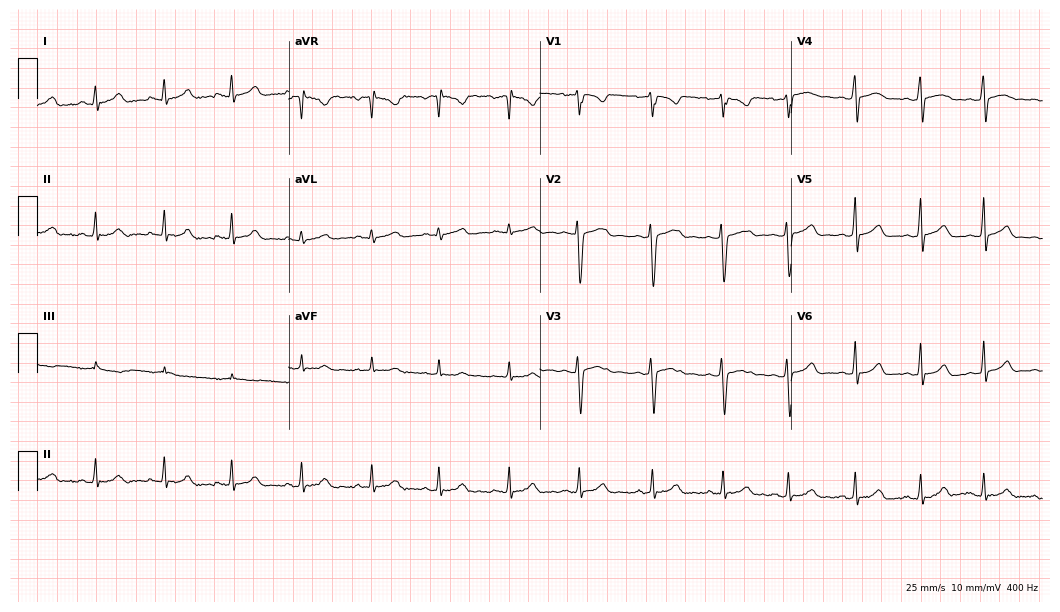
ECG — an 18-year-old woman. Labelled as a normal ECG.